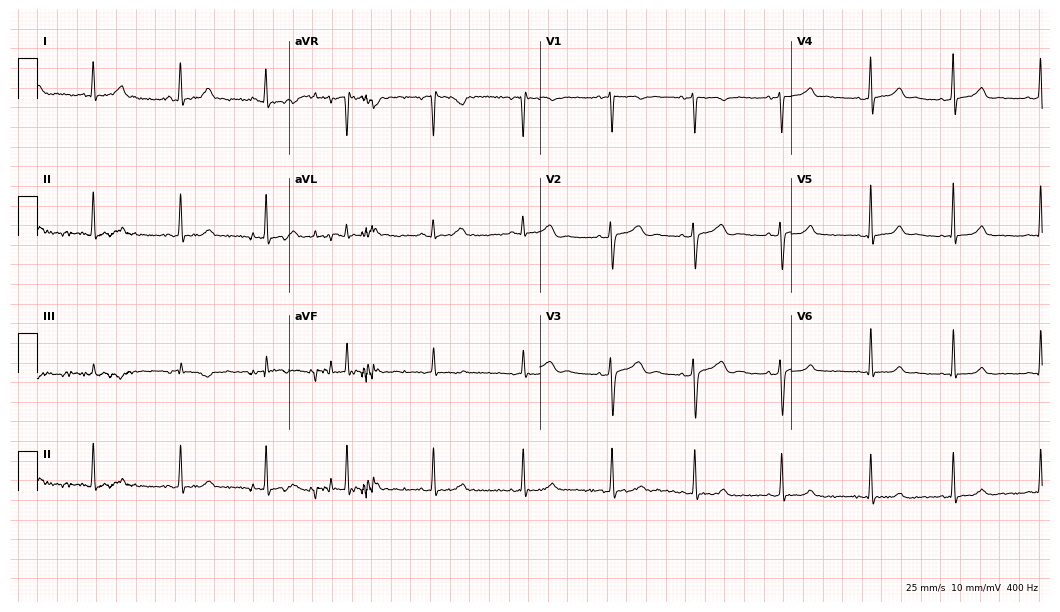
12-lead ECG (10.2-second recording at 400 Hz) from a 22-year-old female. Labelled as a normal ECG.